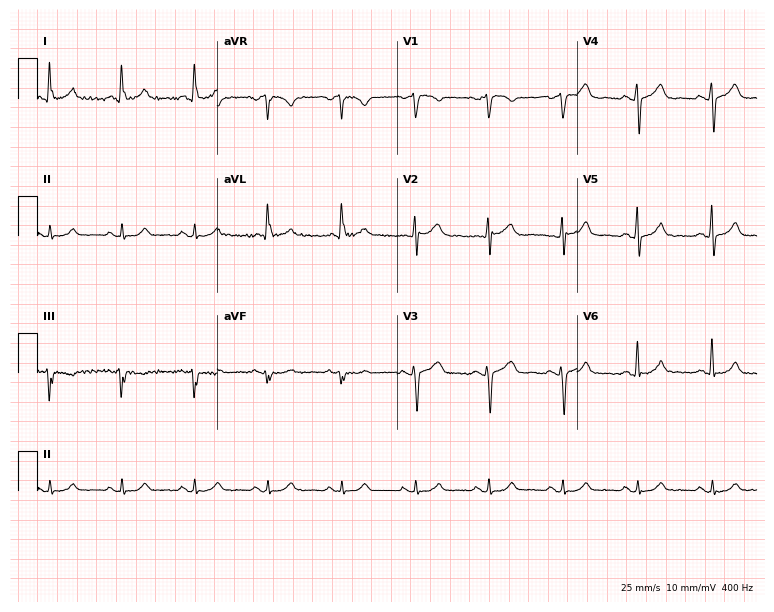
12-lead ECG from a 58-year-old male patient (7.3-second recording at 400 Hz). Recorded interpretation: within normal limits.